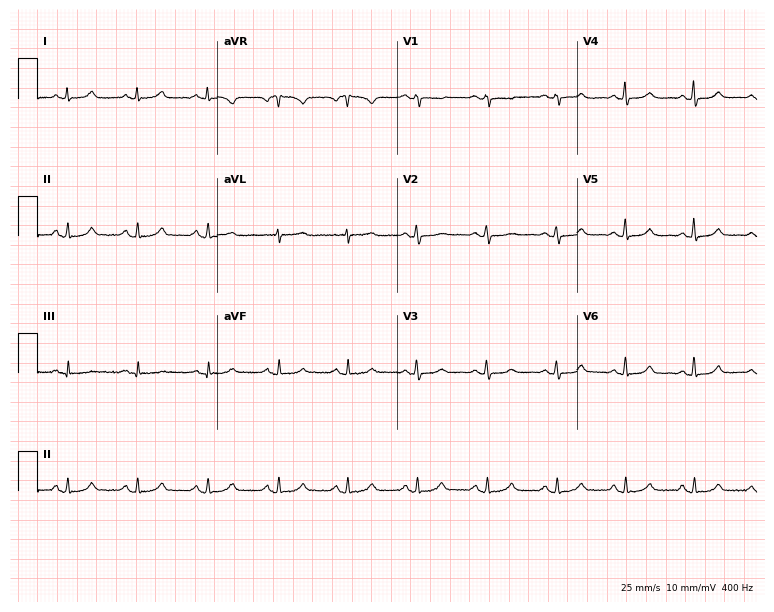
12-lead ECG (7.3-second recording at 400 Hz) from a female, 49 years old. Screened for six findings — first-degree AV block, right bundle branch block, left bundle branch block, sinus bradycardia, atrial fibrillation, sinus tachycardia — none is recorded. Only these six findings were labelled.